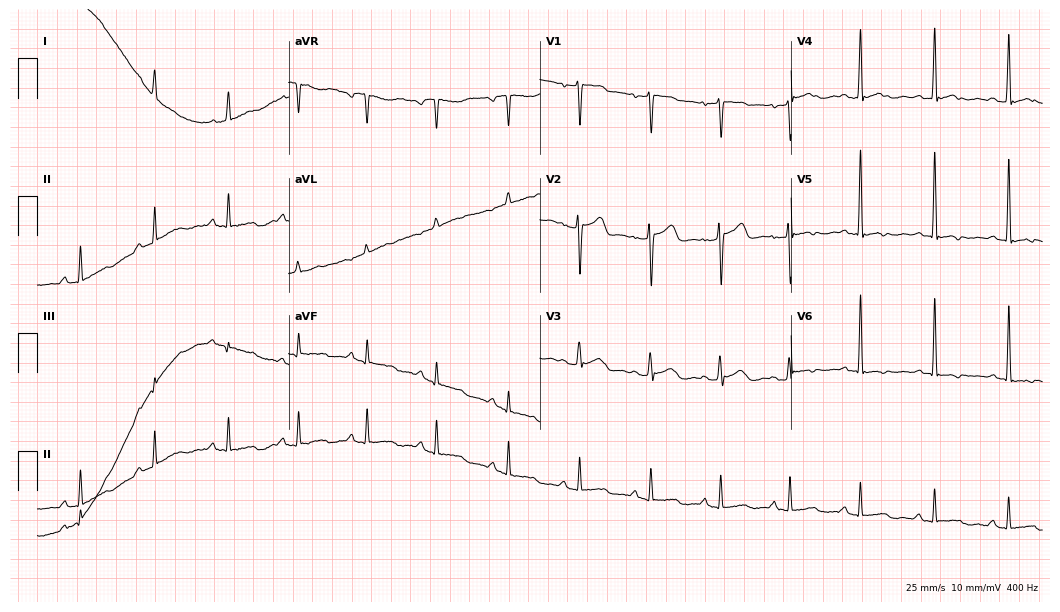
Electrocardiogram, a man, 53 years old. Of the six screened findings (first-degree AV block, right bundle branch block, left bundle branch block, sinus bradycardia, atrial fibrillation, sinus tachycardia), none is recorded.